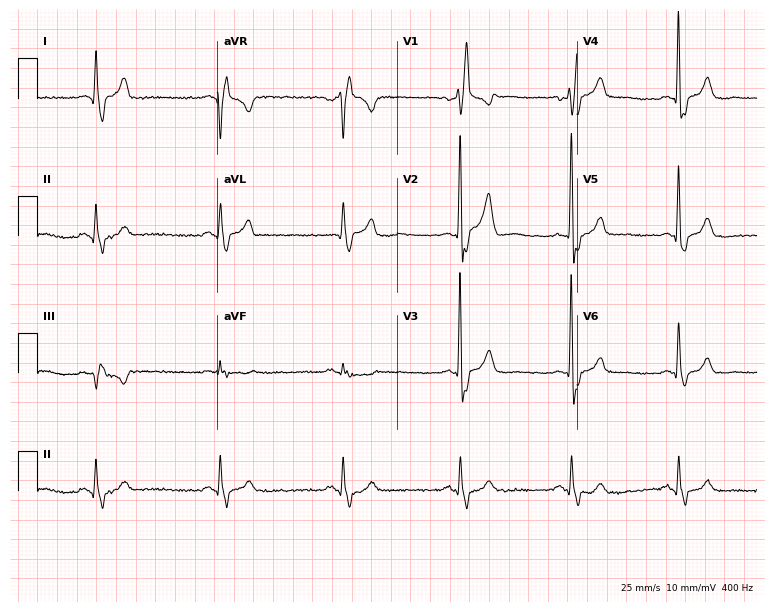
12-lead ECG (7.3-second recording at 400 Hz) from a male, 71 years old. Findings include right bundle branch block, sinus bradycardia (a sinus rate of 50 beats per minute or less).